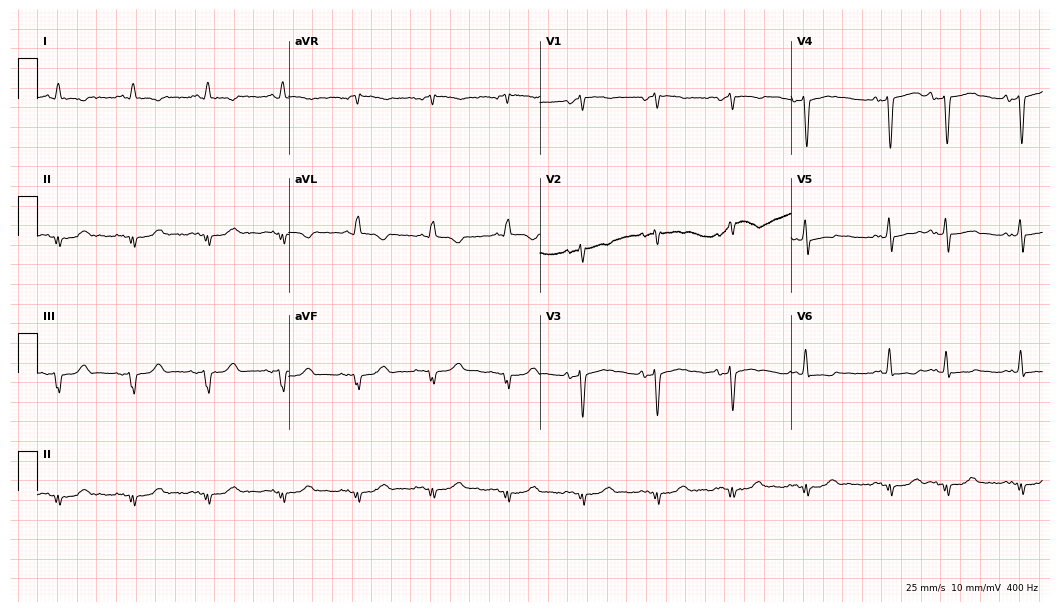
ECG (10.2-second recording at 400 Hz) — a male, 82 years old. Screened for six findings — first-degree AV block, right bundle branch block (RBBB), left bundle branch block (LBBB), sinus bradycardia, atrial fibrillation (AF), sinus tachycardia — none is recorded. Findings outside these six are not listed.